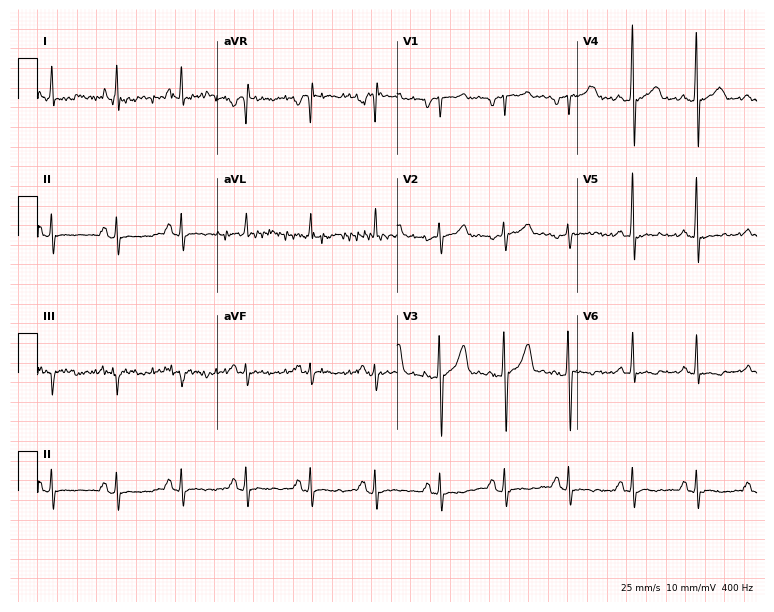
Electrocardiogram (7.3-second recording at 400 Hz), a male patient, 65 years old. Of the six screened findings (first-degree AV block, right bundle branch block, left bundle branch block, sinus bradycardia, atrial fibrillation, sinus tachycardia), none is recorded.